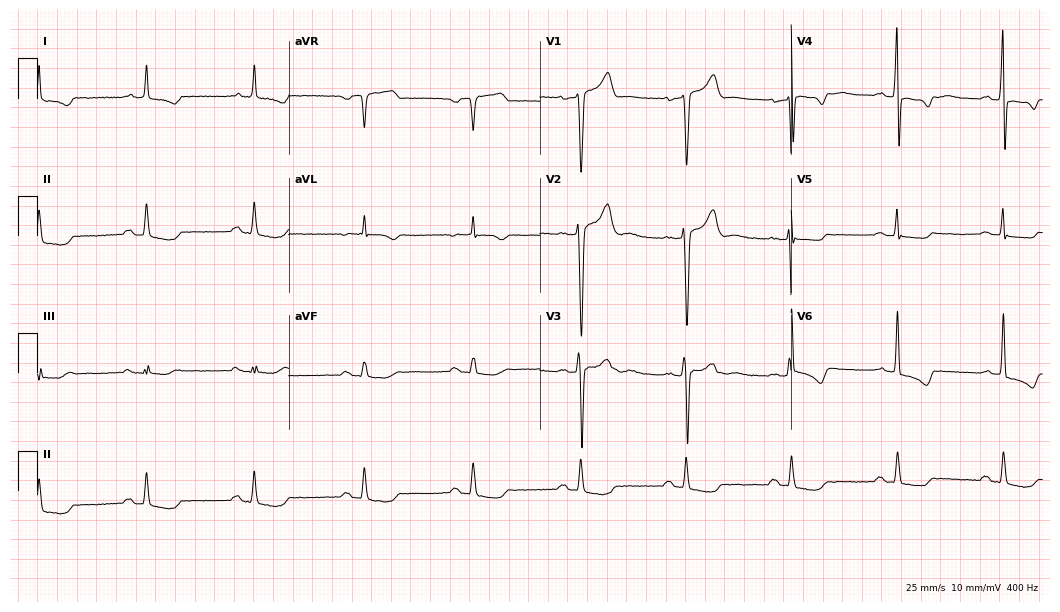
ECG (10.2-second recording at 400 Hz) — a man, 49 years old. Screened for six findings — first-degree AV block, right bundle branch block, left bundle branch block, sinus bradycardia, atrial fibrillation, sinus tachycardia — none is recorded.